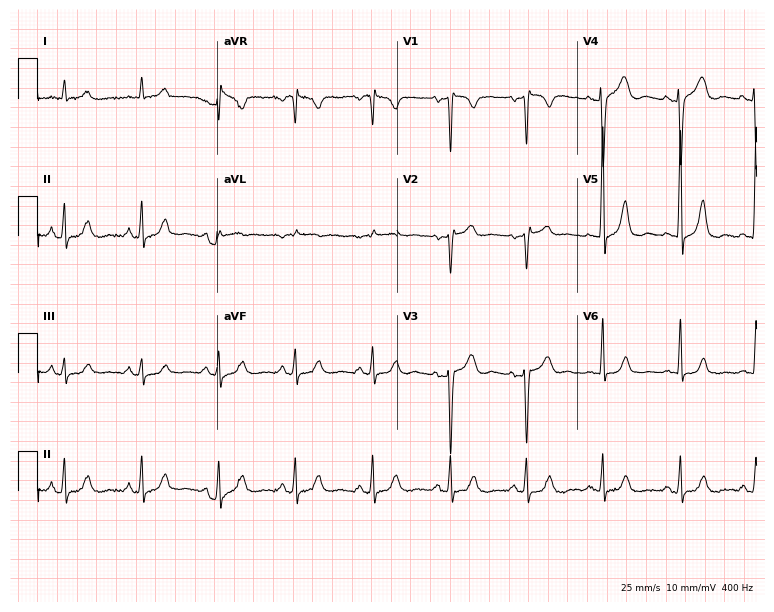
12-lead ECG from a 79-year-old female patient. Labelled as a normal ECG.